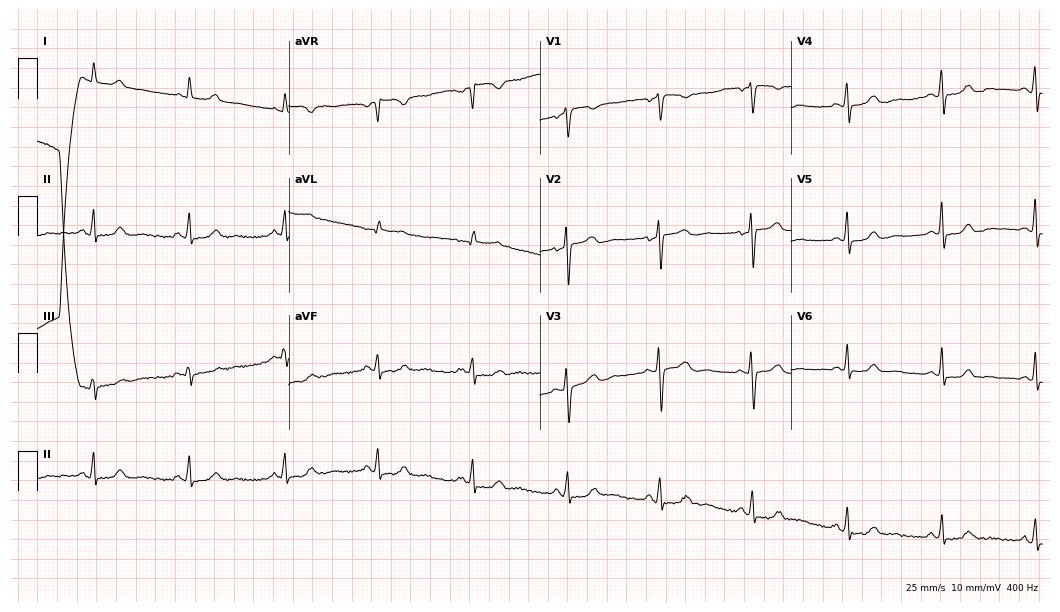
12-lead ECG from a 60-year-old woman. Screened for six findings — first-degree AV block, right bundle branch block, left bundle branch block, sinus bradycardia, atrial fibrillation, sinus tachycardia — none is recorded.